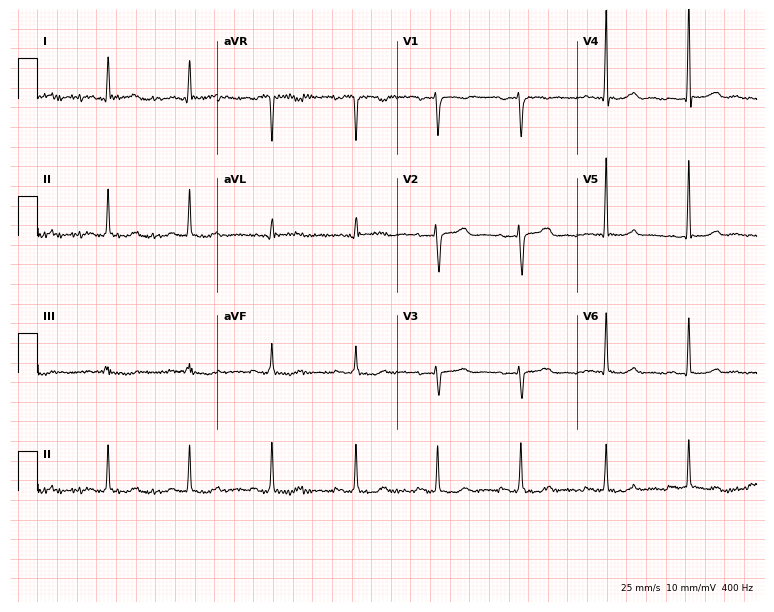
Resting 12-lead electrocardiogram (7.3-second recording at 400 Hz). Patient: a female, 44 years old. Read as a normal ECG.